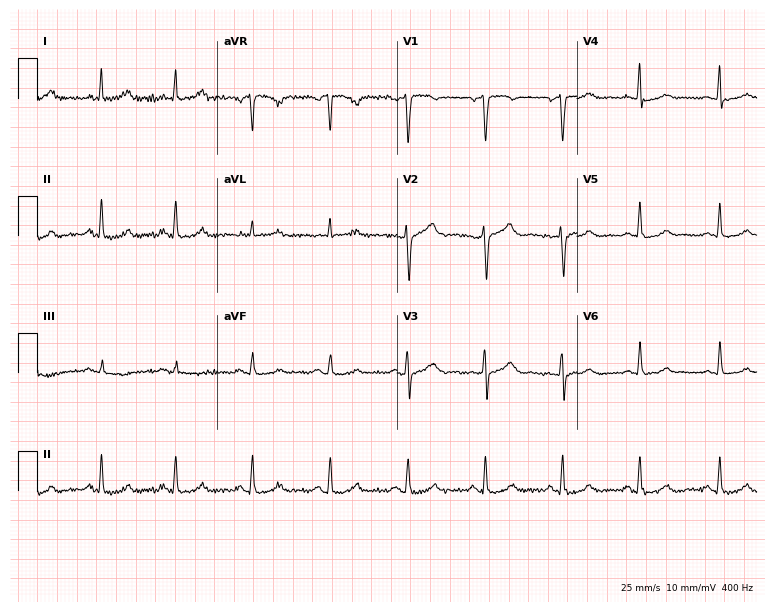
Electrocardiogram, a female patient, 51 years old. Overall reading on record: normal ECG.